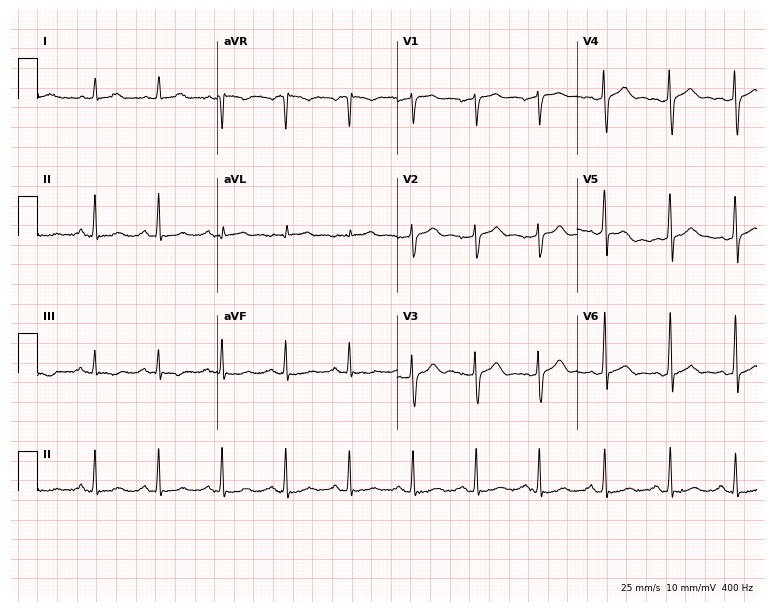
12-lead ECG from a man, 53 years old. Labelled as a normal ECG.